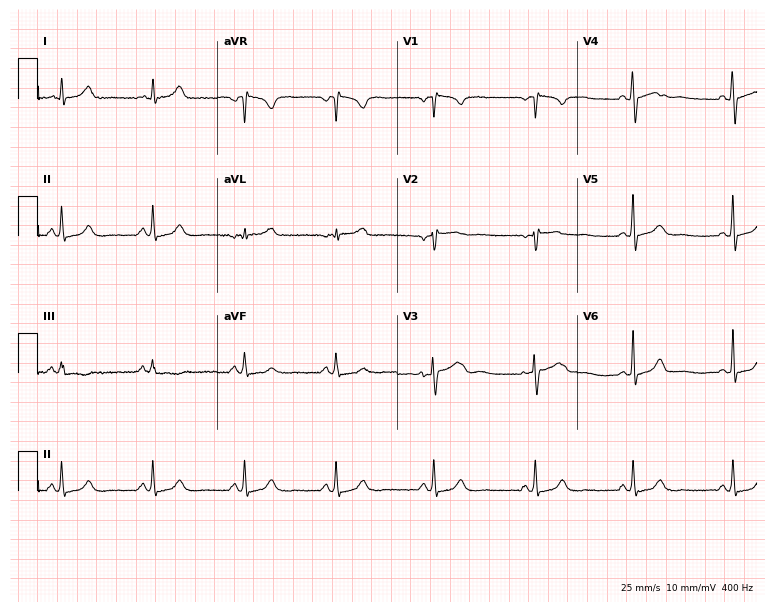
ECG — a female, 57 years old. Screened for six findings — first-degree AV block, right bundle branch block, left bundle branch block, sinus bradycardia, atrial fibrillation, sinus tachycardia — none is recorded. Only these six findings were labelled.